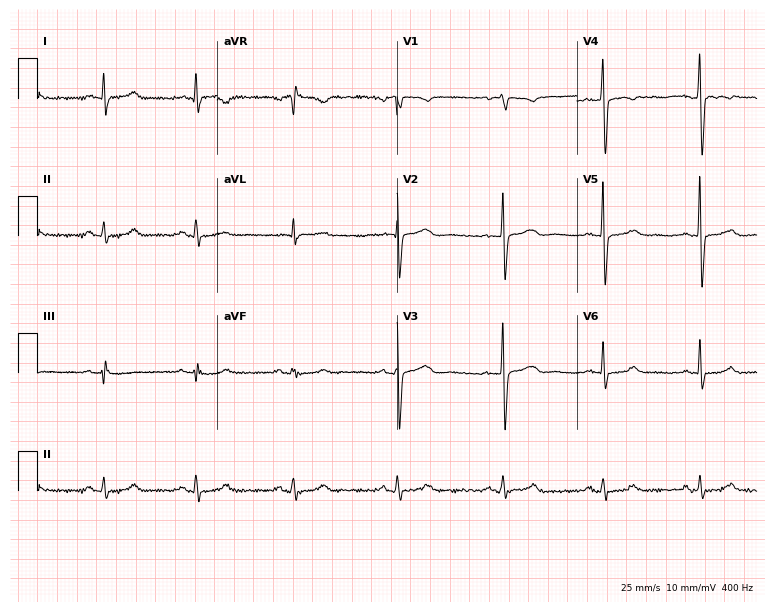
Electrocardiogram, a woman, 51 years old. Of the six screened findings (first-degree AV block, right bundle branch block, left bundle branch block, sinus bradycardia, atrial fibrillation, sinus tachycardia), none is recorded.